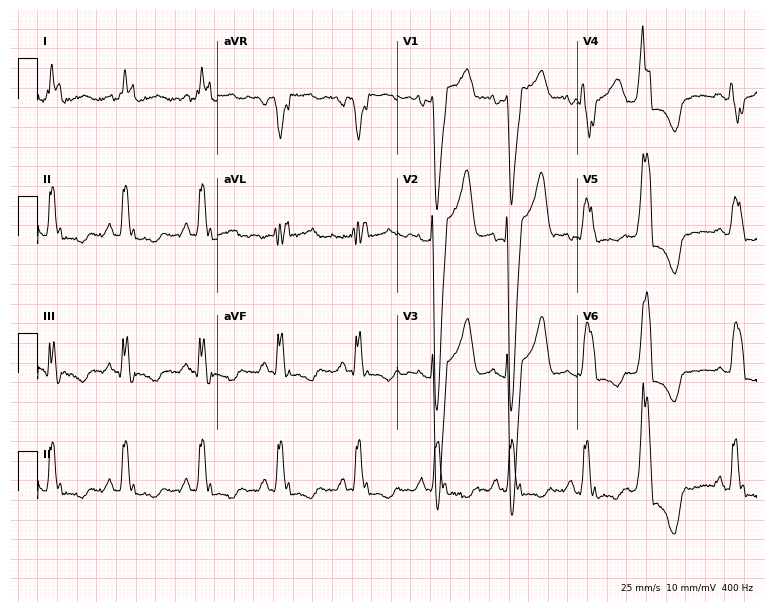
ECG — a 39-year-old woman. Screened for six findings — first-degree AV block, right bundle branch block, left bundle branch block, sinus bradycardia, atrial fibrillation, sinus tachycardia — none is recorded.